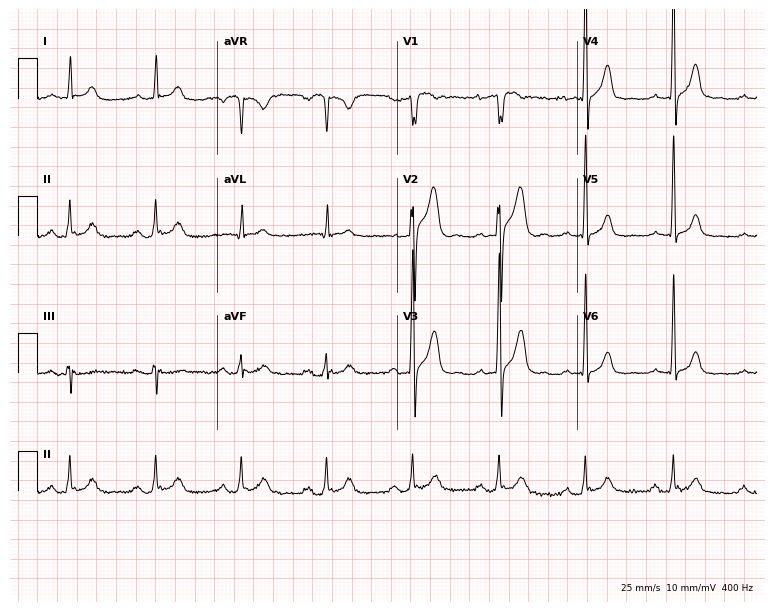
ECG (7.3-second recording at 400 Hz) — a 55-year-old male. Labelled as a normal ECG.